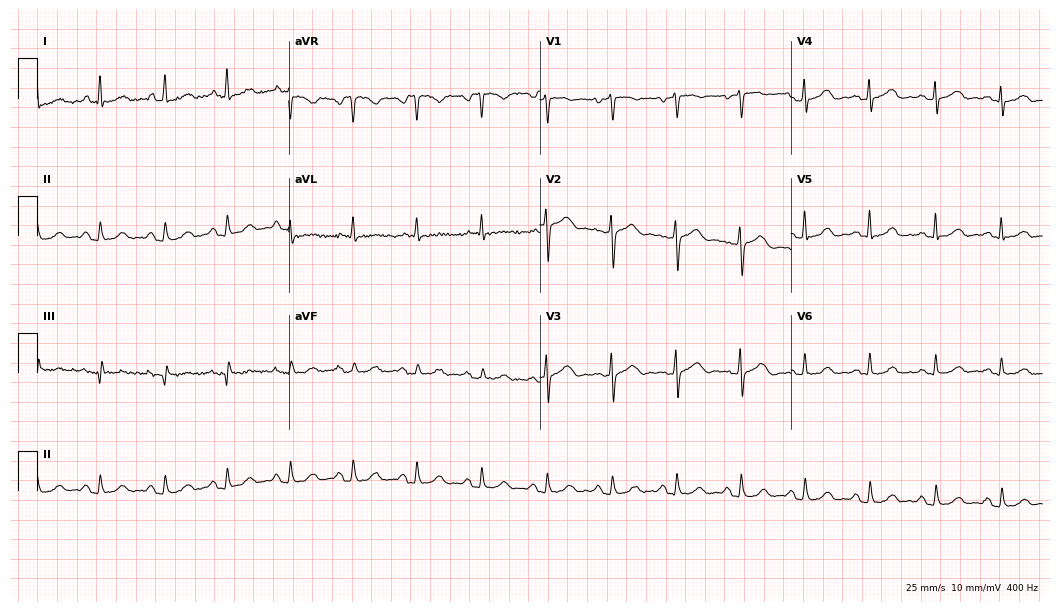
12-lead ECG from a 74-year-old woman. Labelled as a normal ECG.